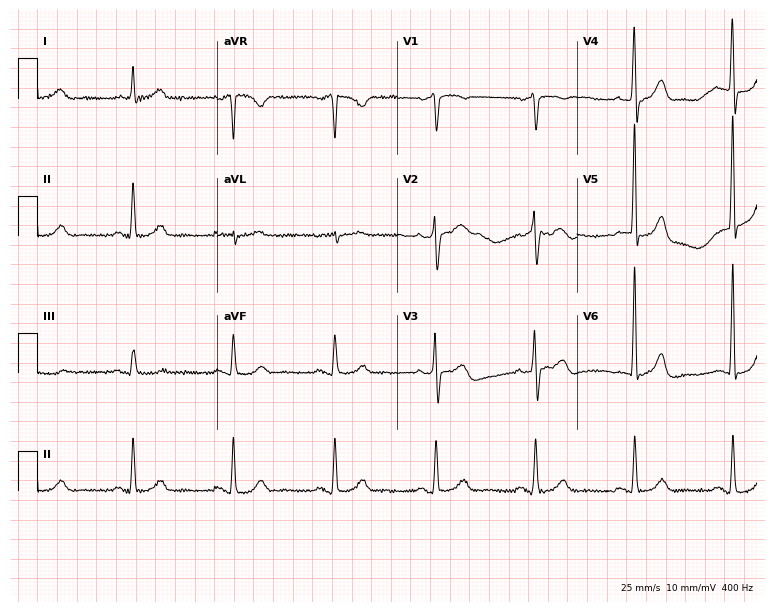
12-lead ECG from a 79-year-old female patient. Labelled as a normal ECG.